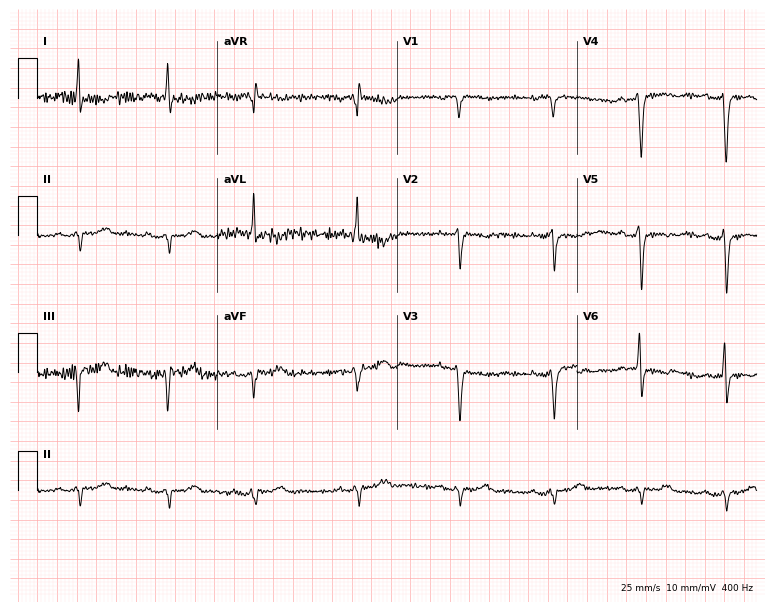
Resting 12-lead electrocardiogram (7.3-second recording at 400 Hz). Patient: a 71-year-old woman. None of these six findings is recorded: first-degree AV block, right bundle branch block (RBBB), left bundle branch block (LBBB), sinus bradycardia, atrial fibrillation (AF), sinus tachycardia. Other findings, if any, are not listed.